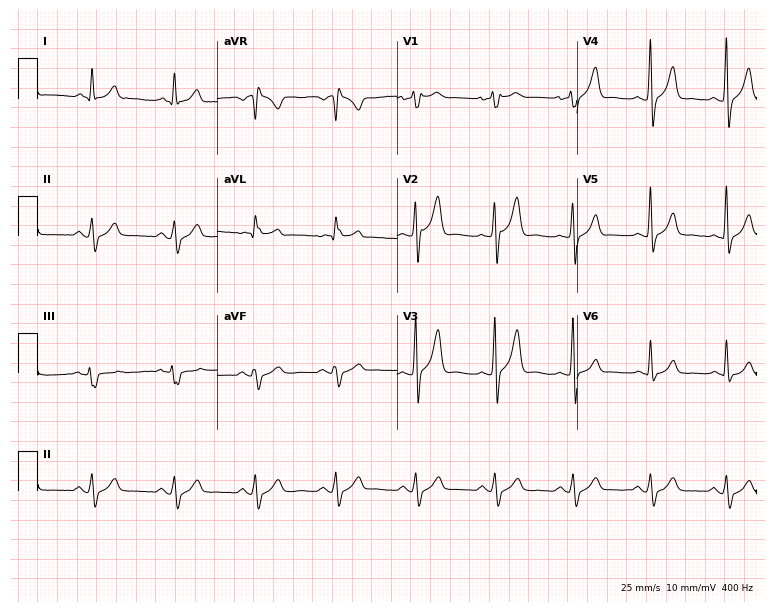
12-lead ECG (7.3-second recording at 400 Hz) from a man, 45 years old. Screened for six findings — first-degree AV block, right bundle branch block, left bundle branch block, sinus bradycardia, atrial fibrillation, sinus tachycardia — none is recorded.